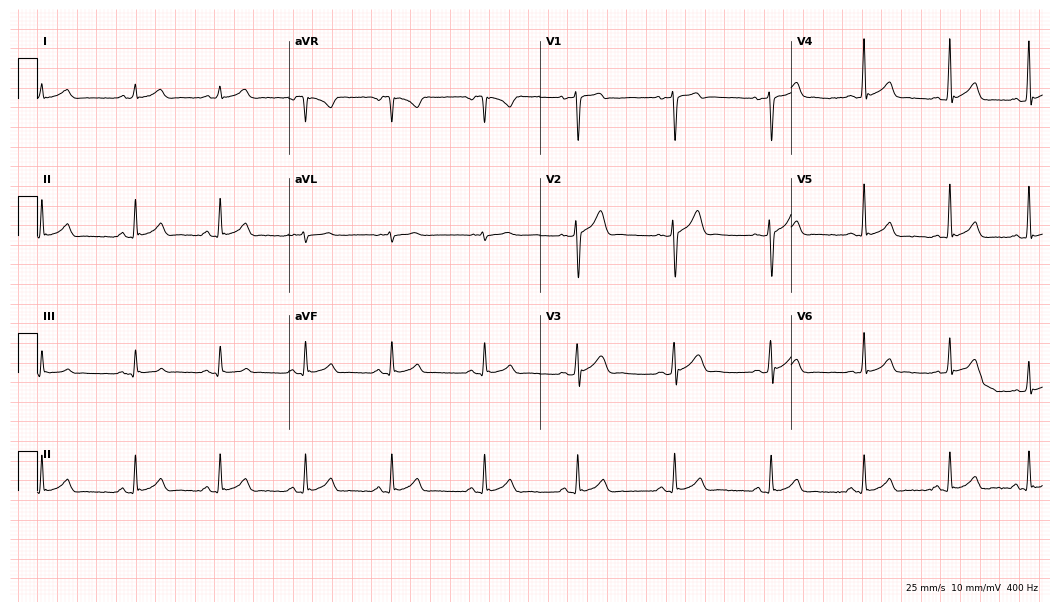
Electrocardiogram (10.2-second recording at 400 Hz), a man, 38 years old. Overall reading on record: normal ECG.